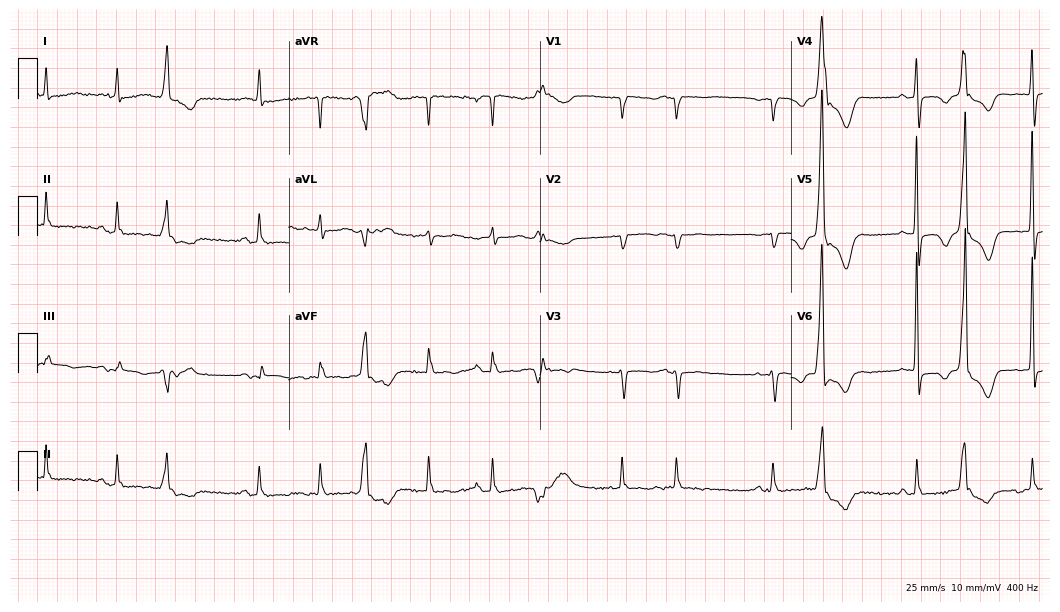
12-lead ECG (10.2-second recording at 400 Hz) from a 77-year-old female patient. Labelled as a normal ECG.